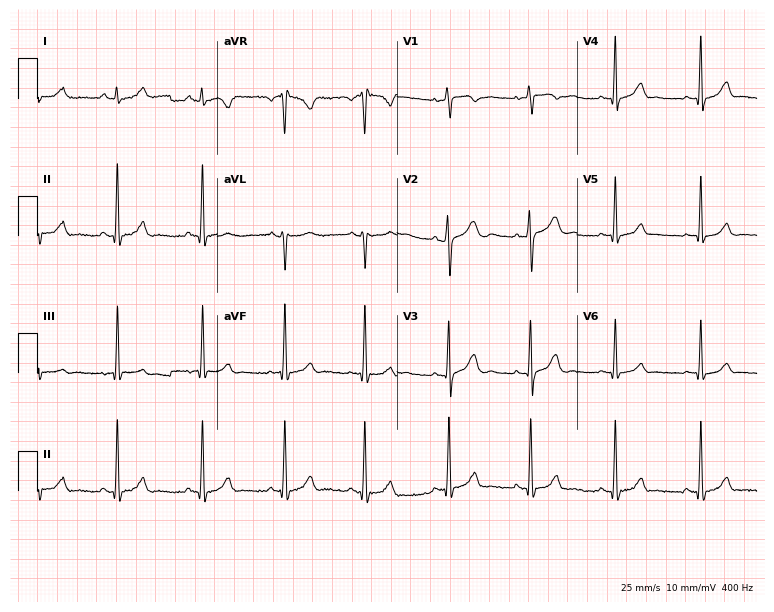
12-lead ECG (7.3-second recording at 400 Hz) from a 17-year-old female. Labelled as a normal ECG.